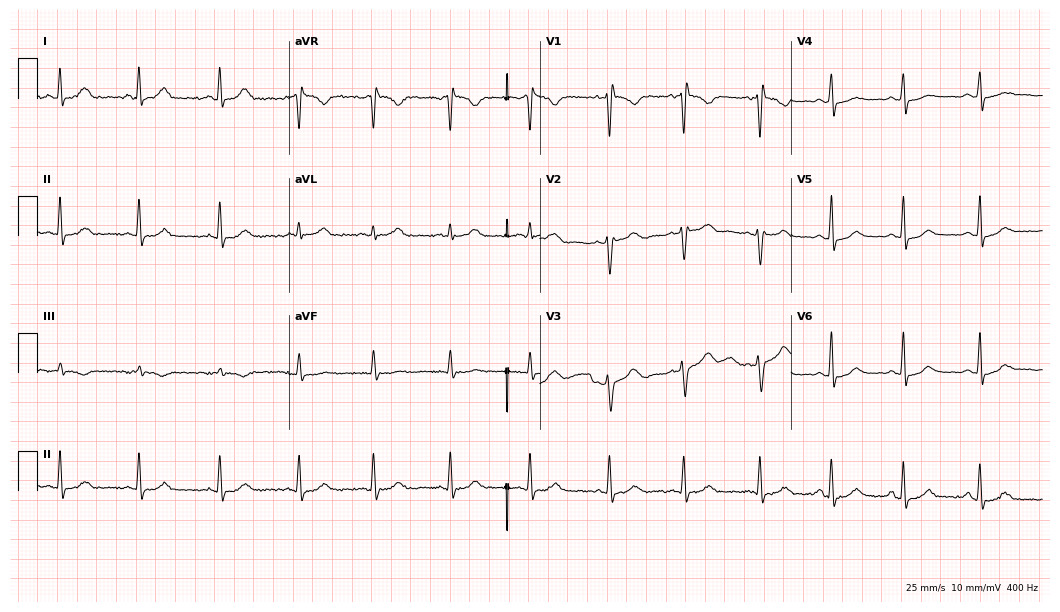
Electrocardiogram (10.2-second recording at 400 Hz), a female, 38 years old. Overall reading on record: normal ECG.